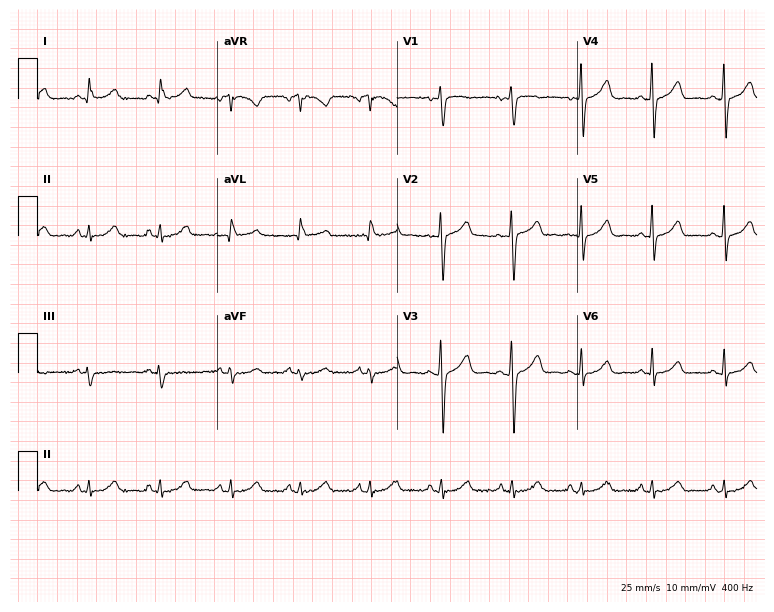
12-lead ECG from a 52-year-old female patient. Labelled as a normal ECG.